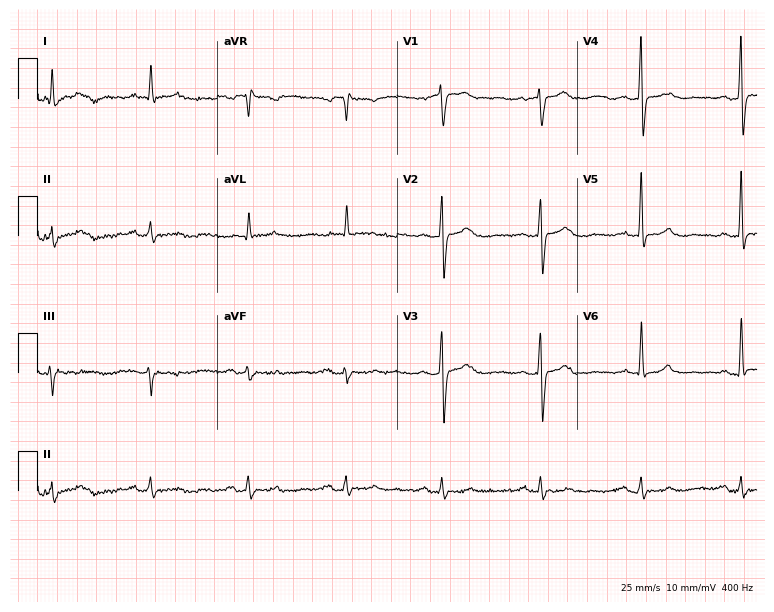
Electrocardiogram, an 85-year-old man. Of the six screened findings (first-degree AV block, right bundle branch block, left bundle branch block, sinus bradycardia, atrial fibrillation, sinus tachycardia), none is recorded. Other findings, if any, are not listed.